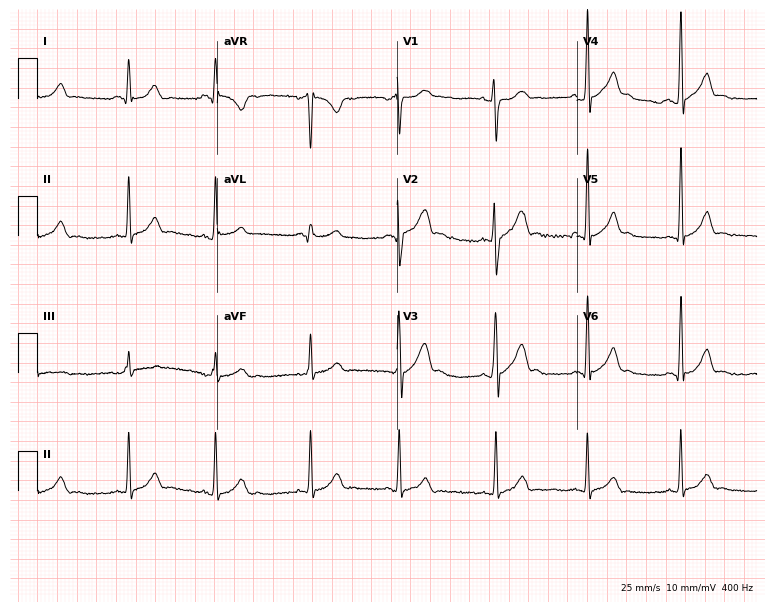
12-lead ECG from a male patient, 23 years old (7.3-second recording at 400 Hz). Recorded interpretation: within normal limits.